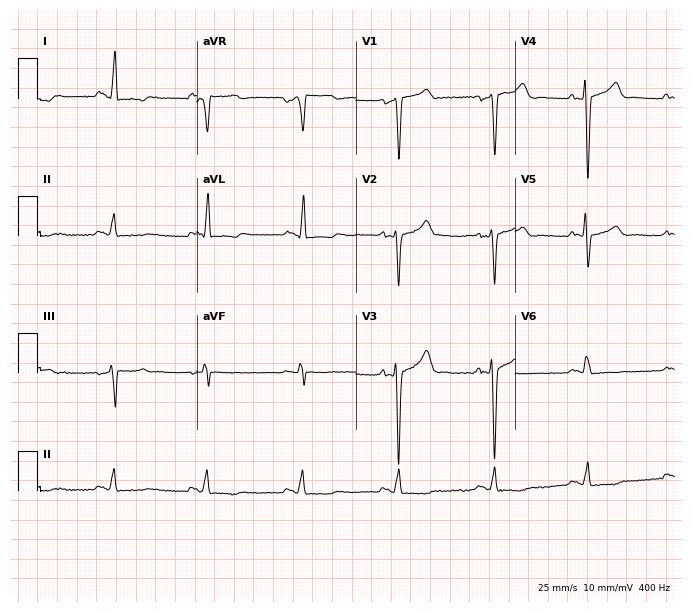
ECG — a male, 47 years old. Screened for six findings — first-degree AV block, right bundle branch block, left bundle branch block, sinus bradycardia, atrial fibrillation, sinus tachycardia — none is recorded. Only these six findings were labelled.